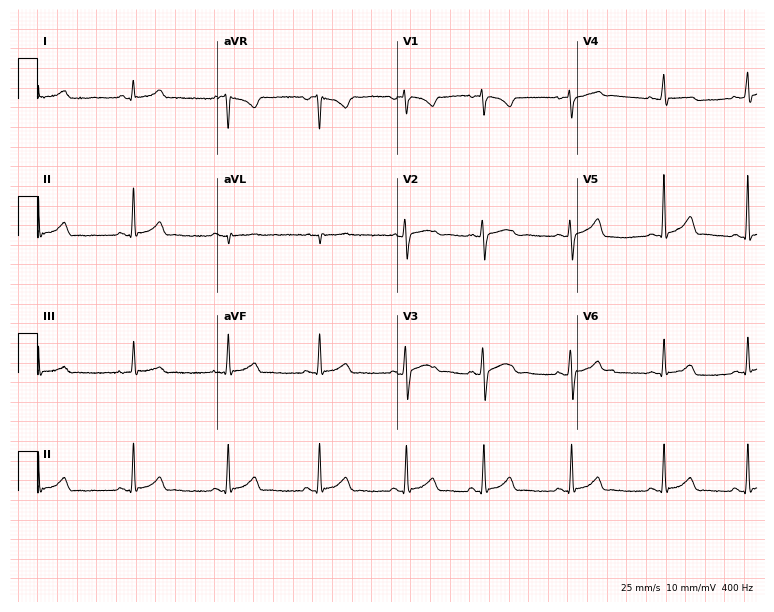
12-lead ECG from a woman, 20 years old. Recorded interpretation: within normal limits.